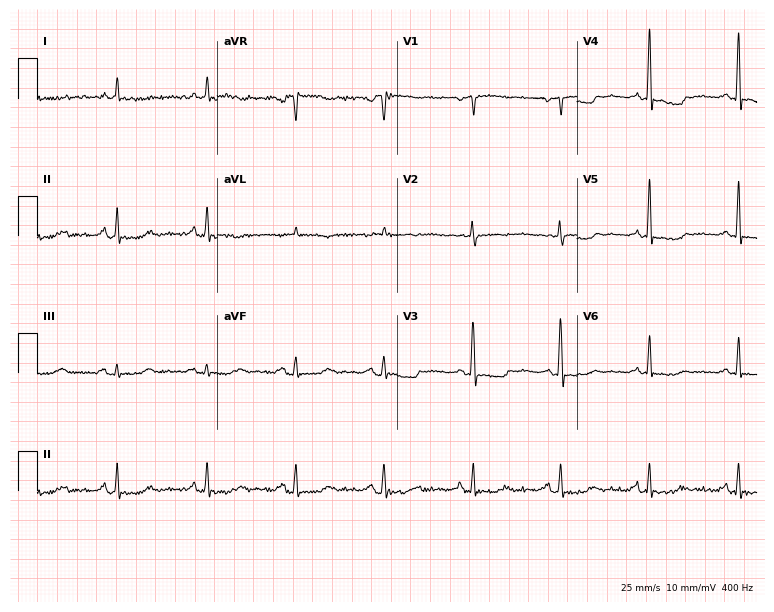
12-lead ECG (7.3-second recording at 400 Hz) from a 41-year-old female patient. Screened for six findings — first-degree AV block, right bundle branch block, left bundle branch block, sinus bradycardia, atrial fibrillation, sinus tachycardia — none is recorded. Findings outside these six are not listed.